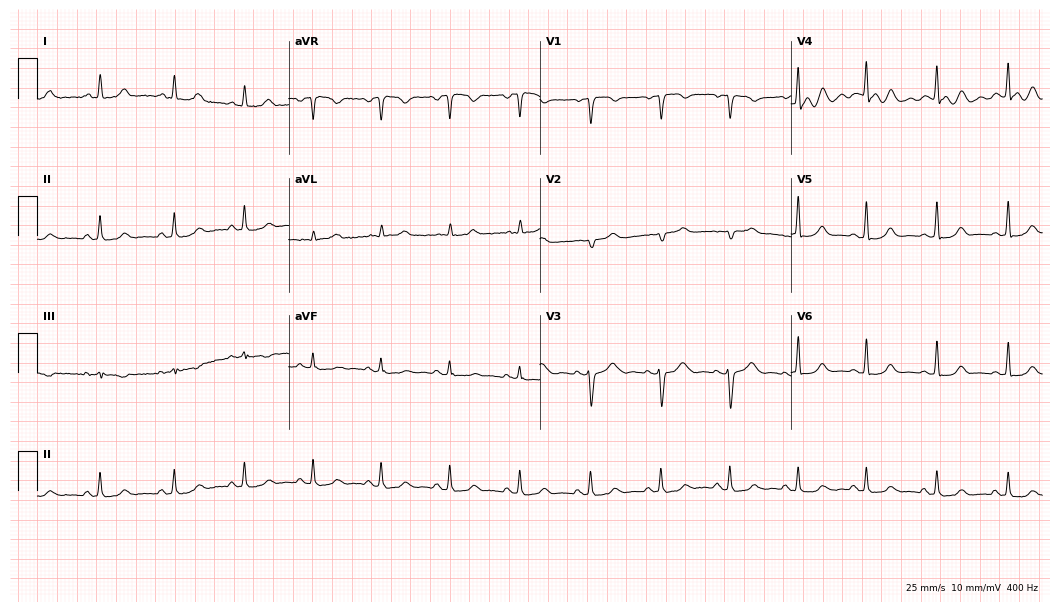
ECG — a 44-year-old woman. Labelled as a normal ECG.